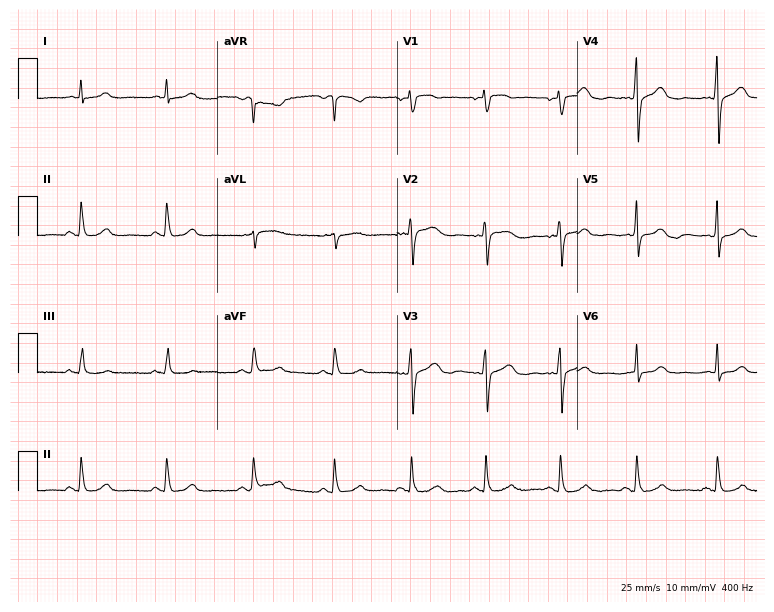
Electrocardiogram (7.3-second recording at 400 Hz), a man, 58 years old. Of the six screened findings (first-degree AV block, right bundle branch block, left bundle branch block, sinus bradycardia, atrial fibrillation, sinus tachycardia), none is recorded.